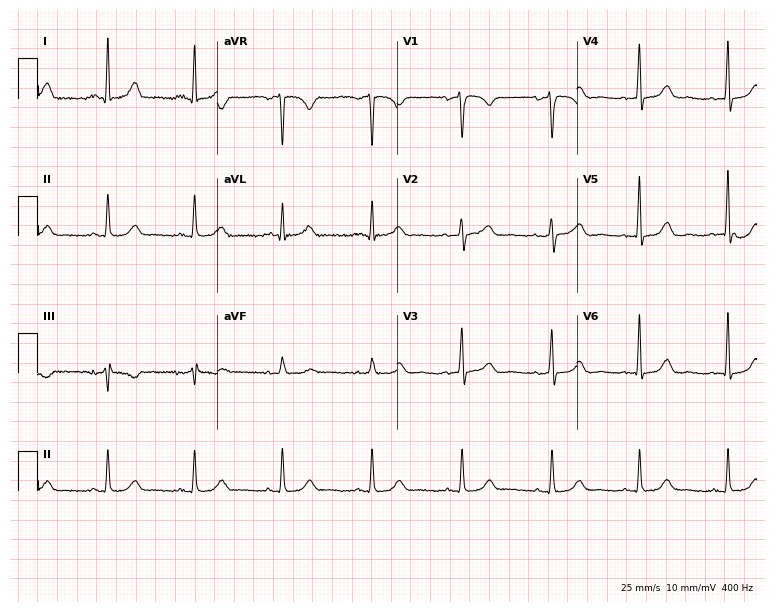
12-lead ECG from a 49-year-old female patient. Recorded interpretation: within normal limits.